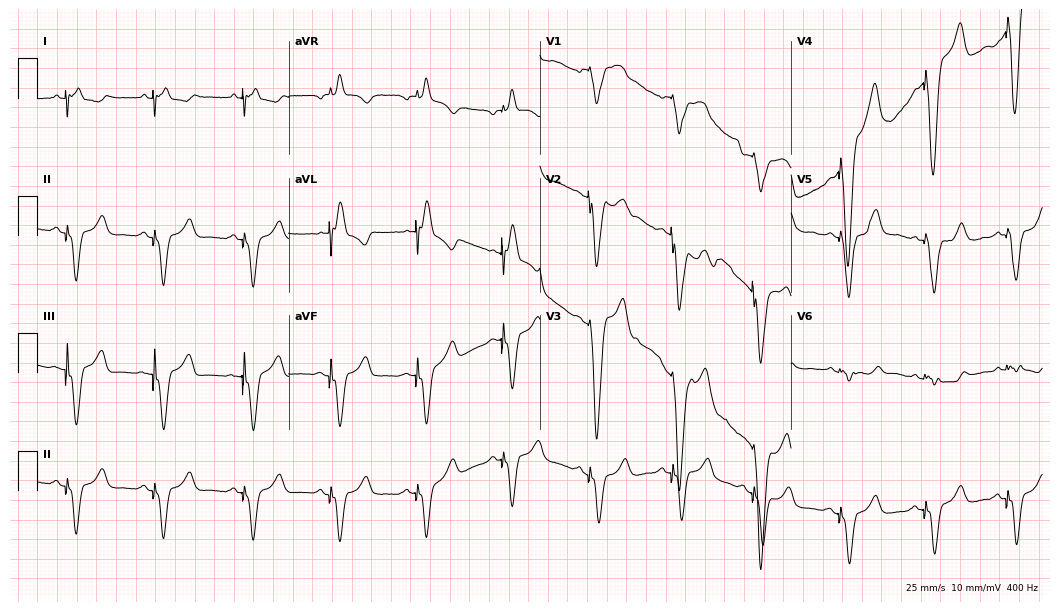
Electrocardiogram, an 81-year-old man. Of the six screened findings (first-degree AV block, right bundle branch block (RBBB), left bundle branch block (LBBB), sinus bradycardia, atrial fibrillation (AF), sinus tachycardia), none is recorded. Findings outside these six are not listed.